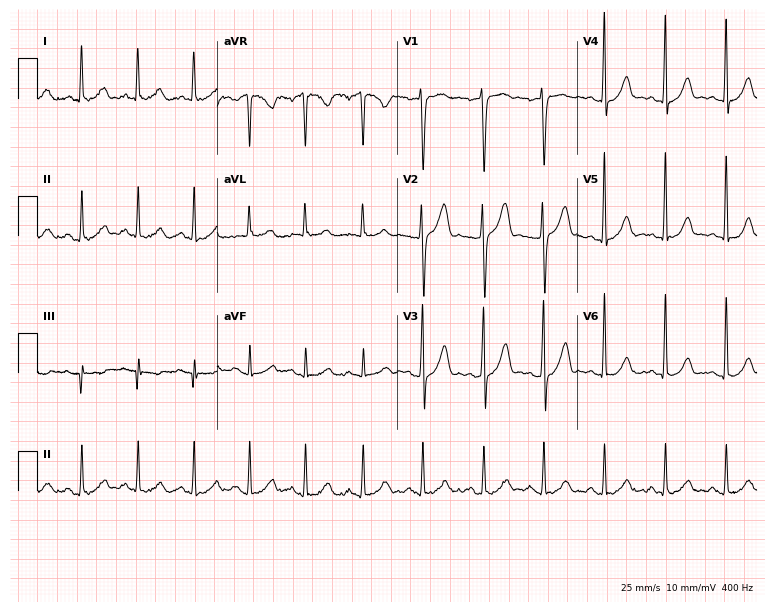
Electrocardiogram (7.3-second recording at 400 Hz), a woman, 38 years old. Overall reading on record: normal ECG.